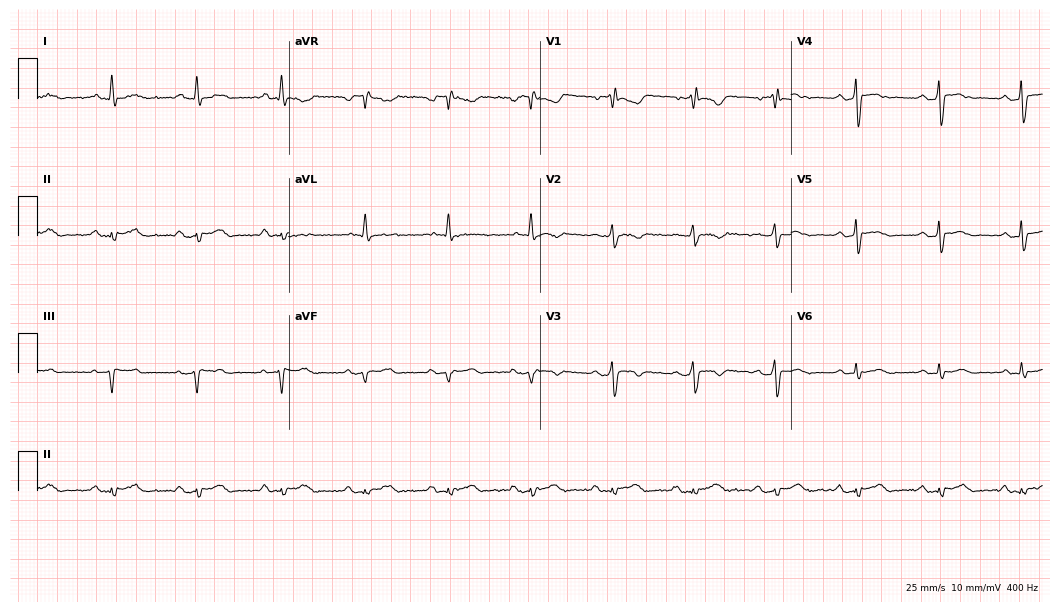
Electrocardiogram, a 66-year-old male patient. Of the six screened findings (first-degree AV block, right bundle branch block, left bundle branch block, sinus bradycardia, atrial fibrillation, sinus tachycardia), none is recorded.